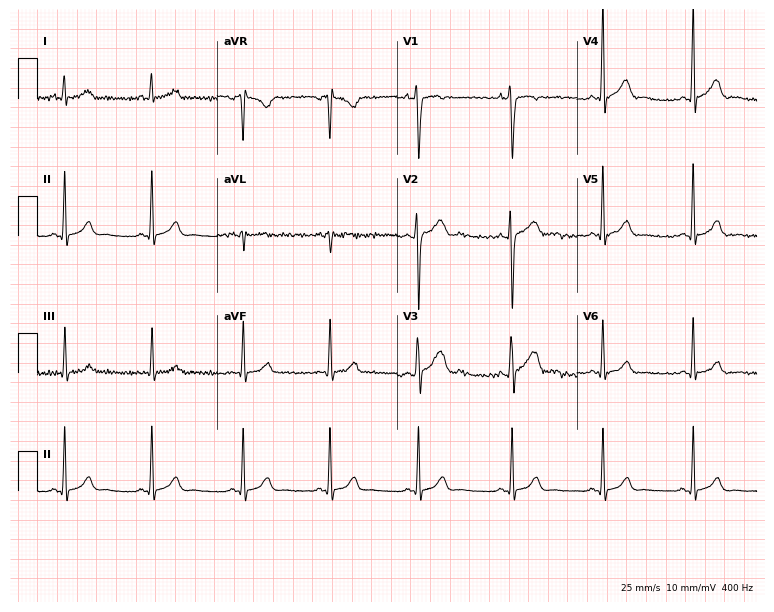
Electrocardiogram (7.3-second recording at 400 Hz), a male patient, 17 years old. Of the six screened findings (first-degree AV block, right bundle branch block, left bundle branch block, sinus bradycardia, atrial fibrillation, sinus tachycardia), none is recorded.